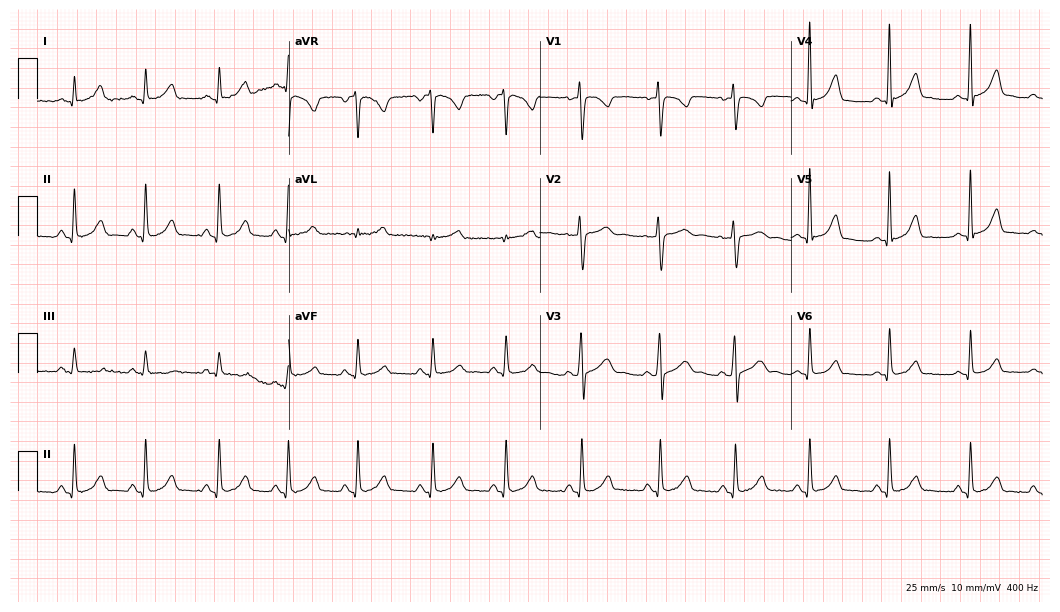
ECG (10.2-second recording at 400 Hz) — a woman, 25 years old. Labelled as a normal ECG.